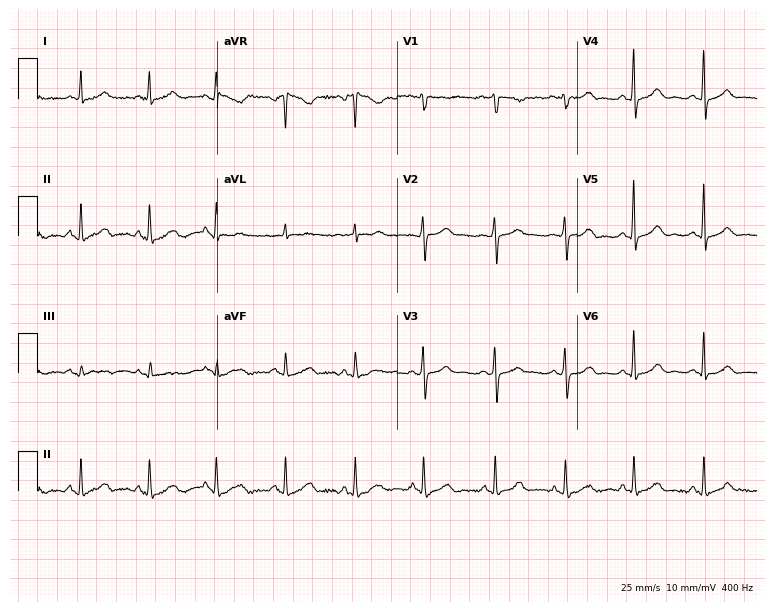
12-lead ECG from a 73-year-old female (7.3-second recording at 400 Hz). Recorded interpretation: within normal limits.